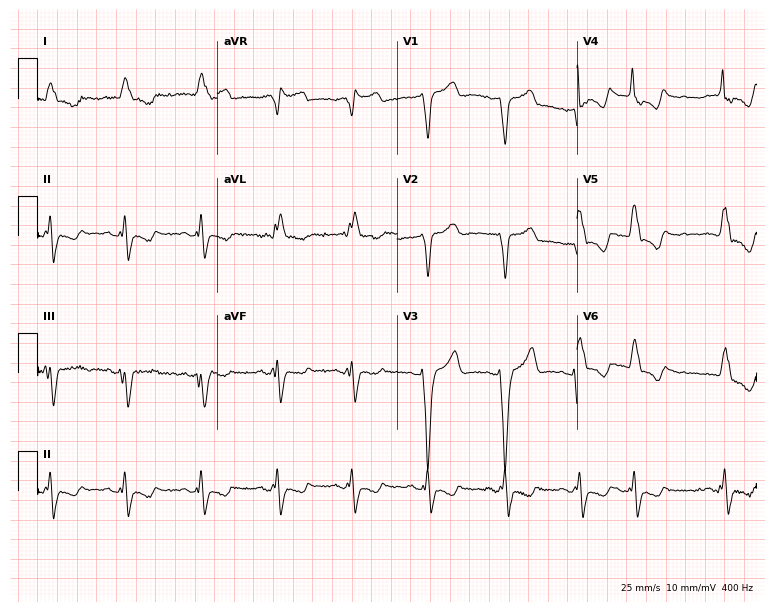
Electrocardiogram (7.3-second recording at 400 Hz), a female, 74 years old. Interpretation includes left bundle branch block.